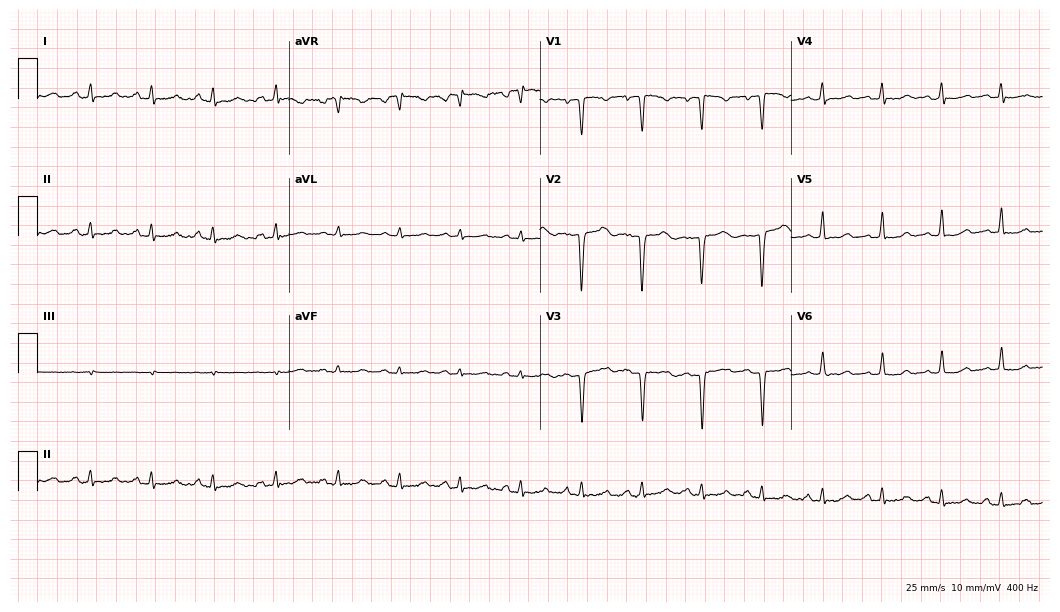
12-lead ECG from a female patient, 35 years old. No first-degree AV block, right bundle branch block, left bundle branch block, sinus bradycardia, atrial fibrillation or sinus tachycardia recorded for this tracing.